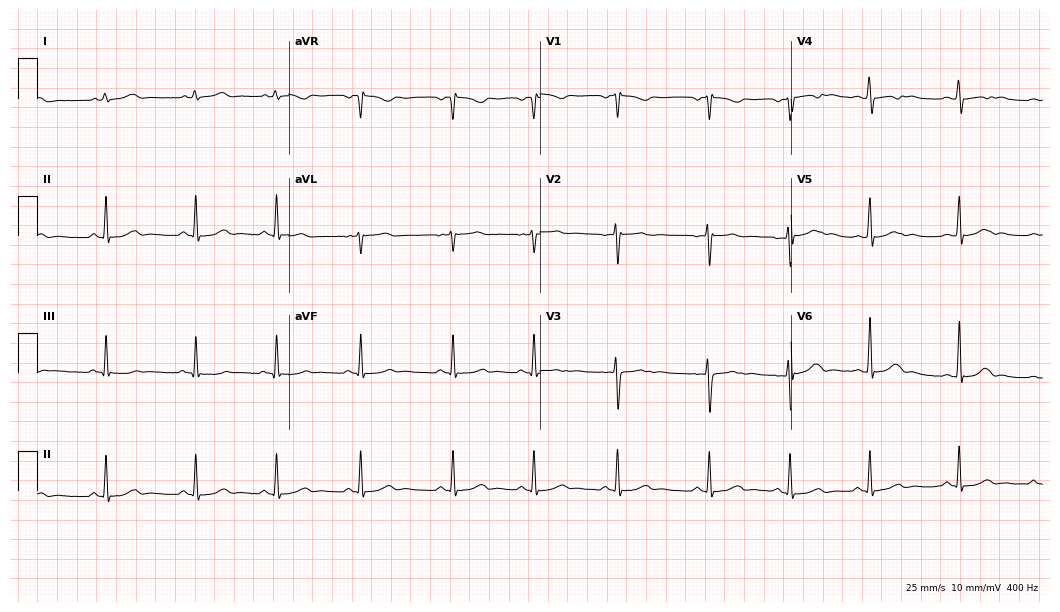
ECG (10.2-second recording at 400 Hz) — an 18-year-old female. Screened for six findings — first-degree AV block, right bundle branch block, left bundle branch block, sinus bradycardia, atrial fibrillation, sinus tachycardia — none is recorded. Only these six findings were labelled.